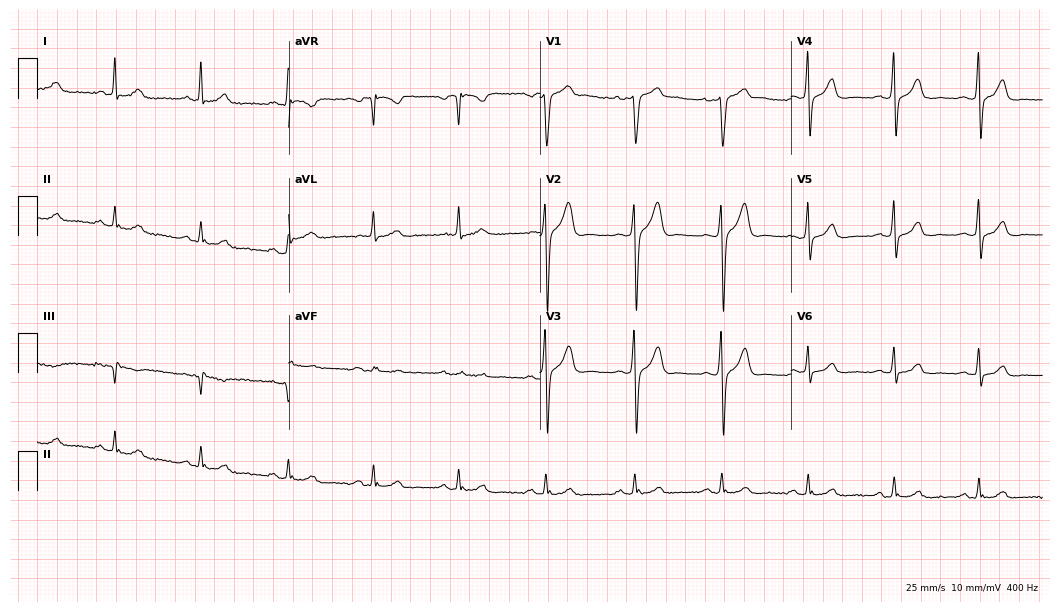
12-lead ECG (10.2-second recording at 400 Hz) from a male, 40 years old. Labelled as a normal ECG.